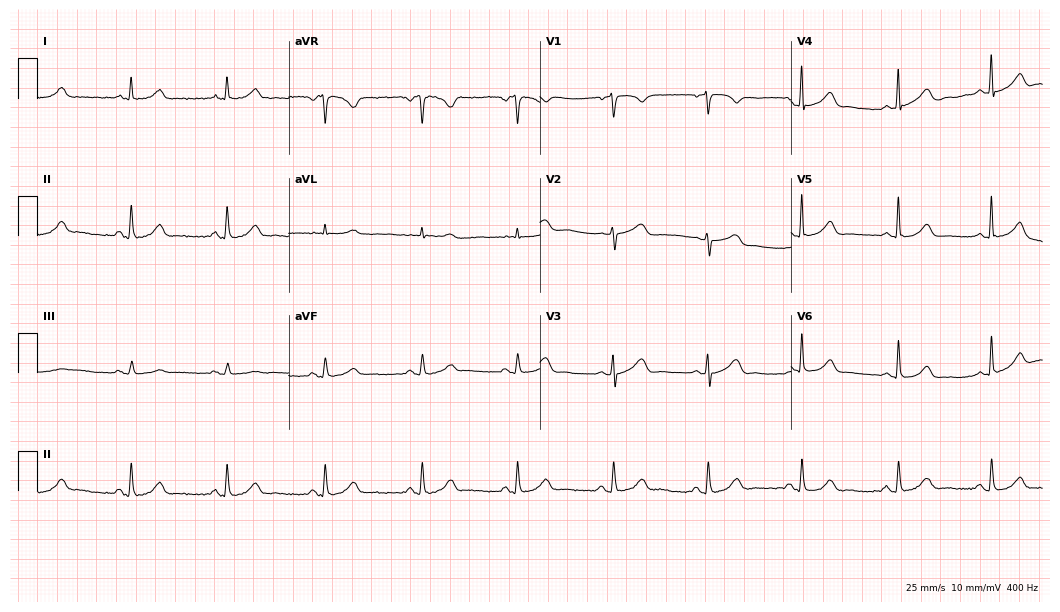
Resting 12-lead electrocardiogram (10.2-second recording at 400 Hz). Patient: a woman, 71 years old. Read as a normal ECG.